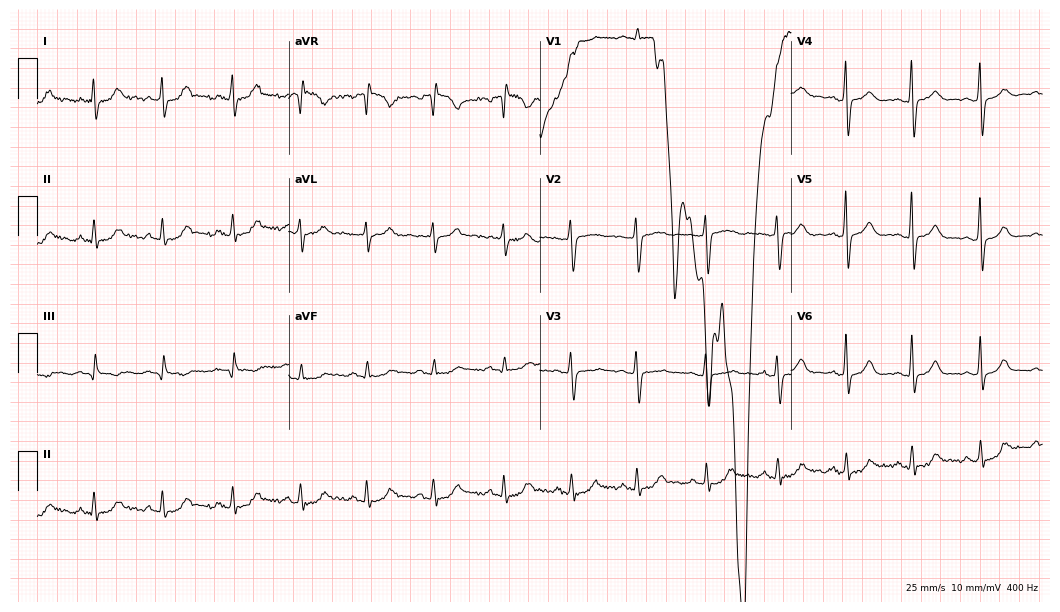
Electrocardiogram, a 34-year-old female patient. Of the six screened findings (first-degree AV block, right bundle branch block, left bundle branch block, sinus bradycardia, atrial fibrillation, sinus tachycardia), none is recorded.